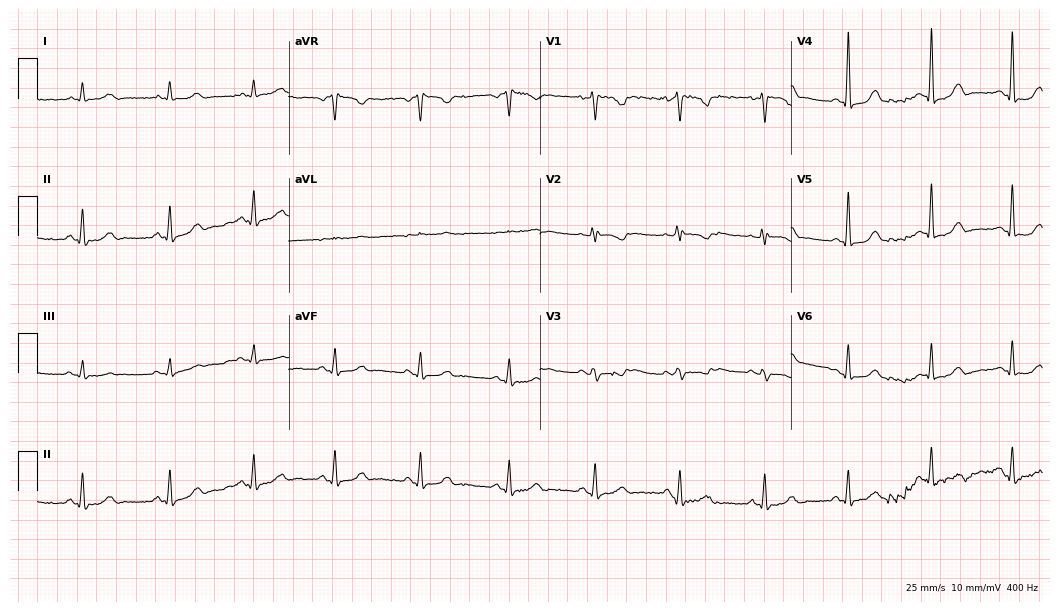
12-lead ECG from a 47-year-old female patient. Labelled as a normal ECG.